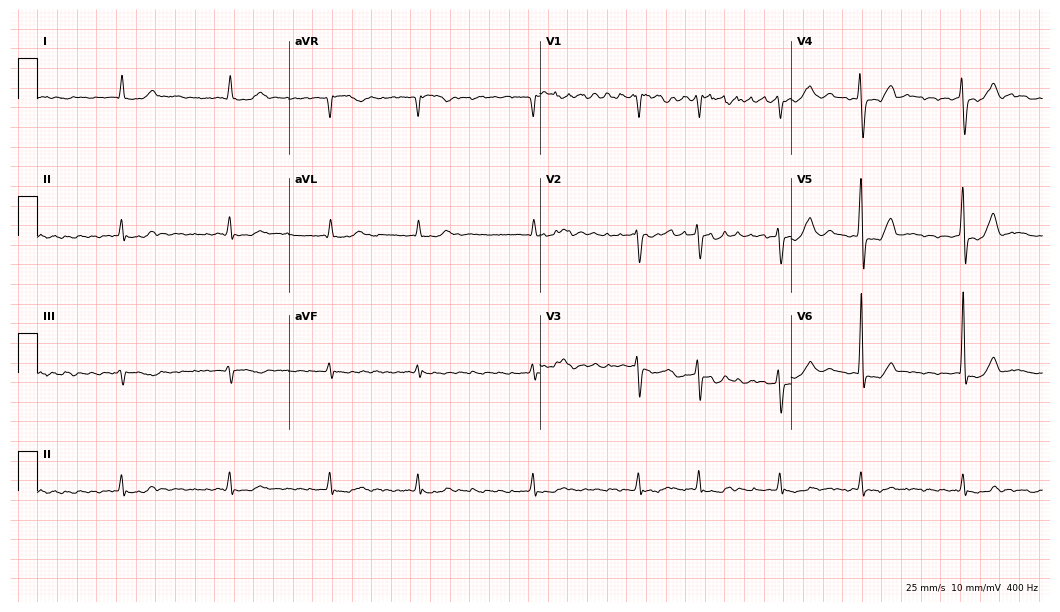
ECG — a woman, 66 years old. Screened for six findings — first-degree AV block, right bundle branch block (RBBB), left bundle branch block (LBBB), sinus bradycardia, atrial fibrillation (AF), sinus tachycardia — none is recorded. Findings outside these six are not listed.